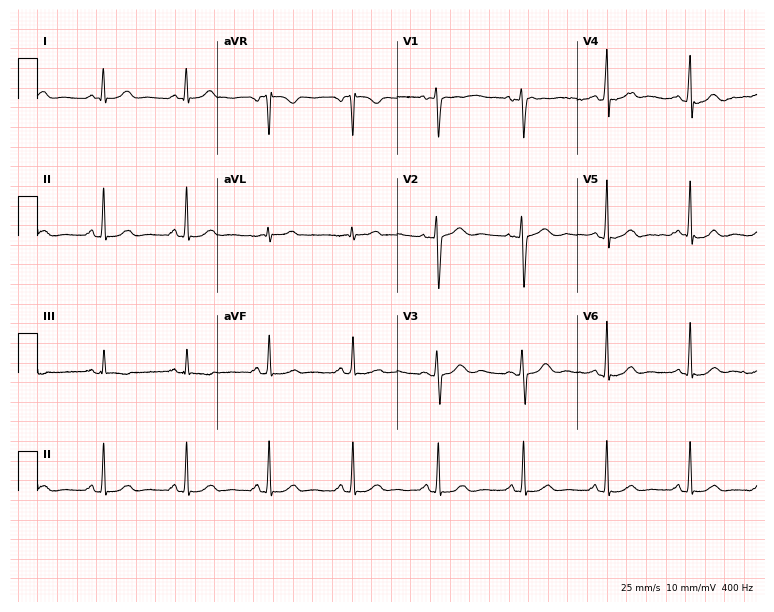
12-lead ECG from a female, 32 years old. Recorded interpretation: within normal limits.